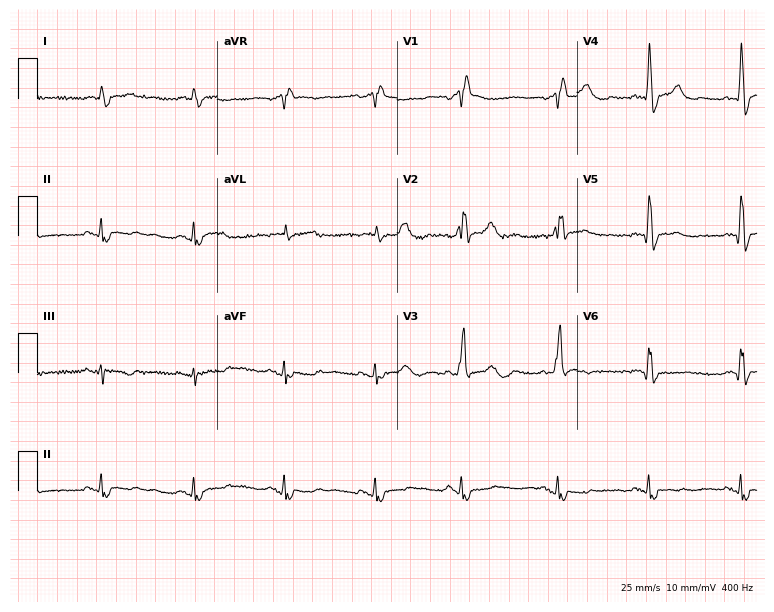
12-lead ECG (7.3-second recording at 400 Hz) from a male, 68 years old. Findings include right bundle branch block.